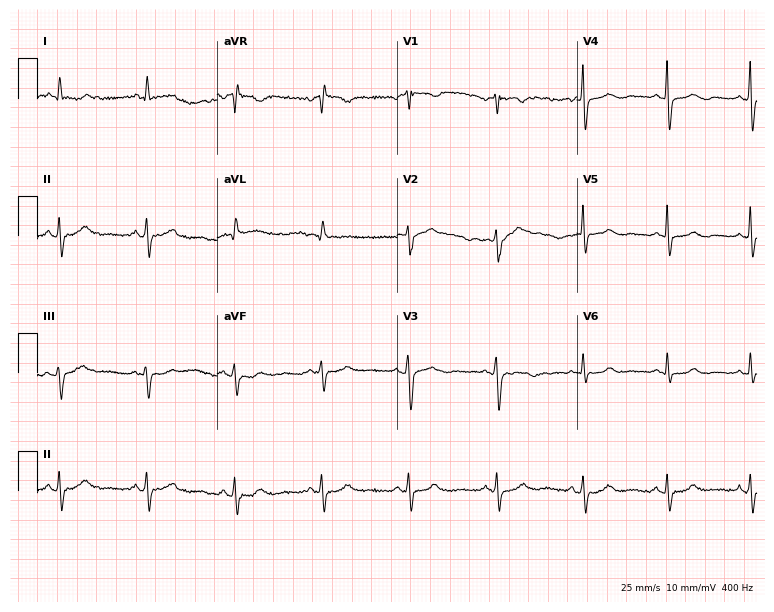
Electrocardiogram (7.3-second recording at 400 Hz), a woman, 59 years old. Of the six screened findings (first-degree AV block, right bundle branch block (RBBB), left bundle branch block (LBBB), sinus bradycardia, atrial fibrillation (AF), sinus tachycardia), none is recorded. Only these six findings were labelled.